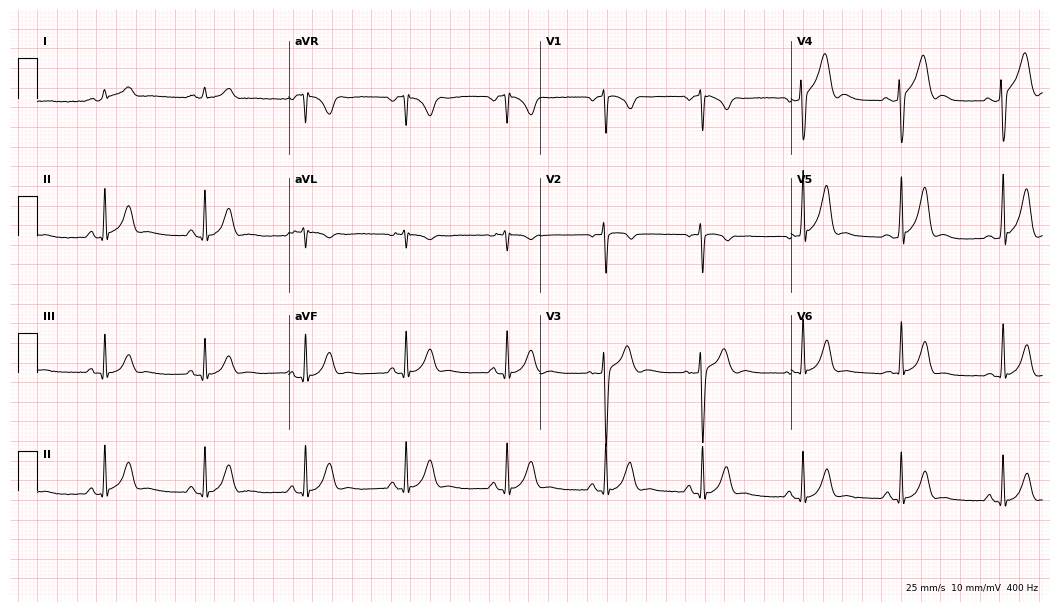
Standard 12-lead ECG recorded from a man, 35 years old (10.2-second recording at 400 Hz). None of these six findings is recorded: first-degree AV block, right bundle branch block, left bundle branch block, sinus bradycardia, atrial fibrillation, sinus tachycardia.